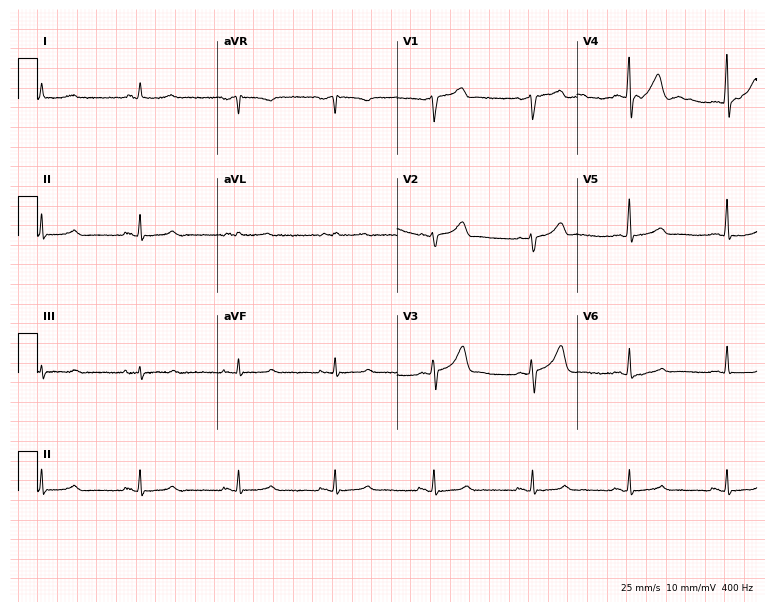
ECG — a man, 53 years old. Screened for six findings — first-degree AV block, right bundle branch block (RBBB), left bundle branch block (LBBB), sinus bradycardia, atrial fibrillation (AF), sinus tachycardia — none is recorded. Other findings, if any, are not listed.